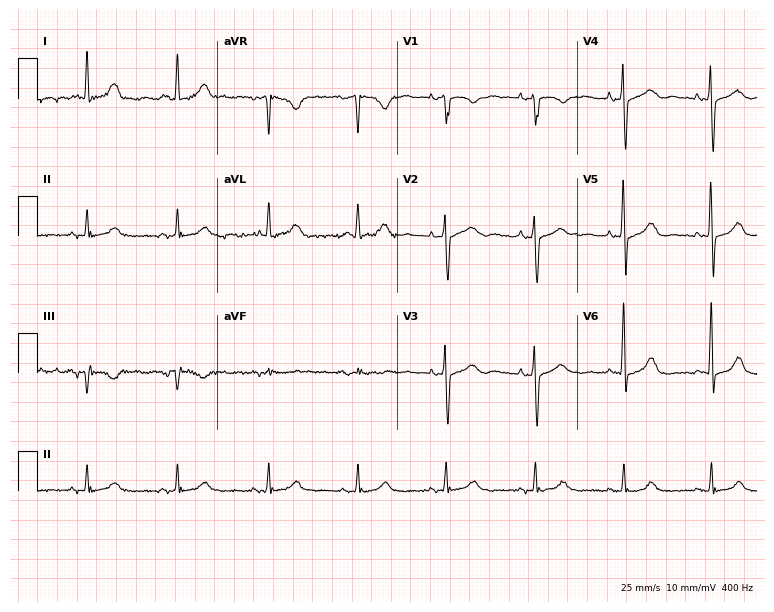
ECG (7.3-second recording at 400 Hz) — an 80-year-old female patient. Screened for six findings — first-degree AV block, right bundle branch block (RBBB), left bundle branch block (LBBB), sinus bradycardia, atrial fibrillation (AF), sinus tachycardia — none is recorded. Other findings, if any, are not listed.